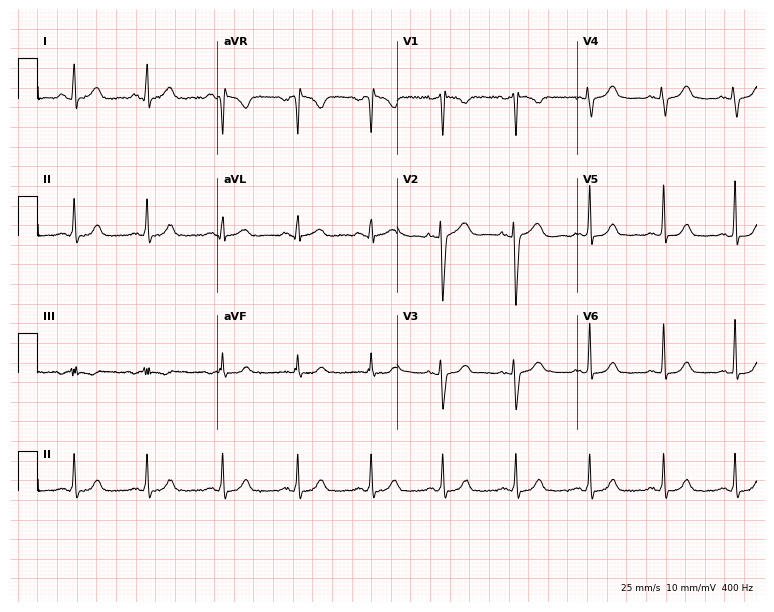
12-lead ECG (7.3-second recording at 400 Hz) from a 36-year-old female patient. Labelled as a normal ECG.